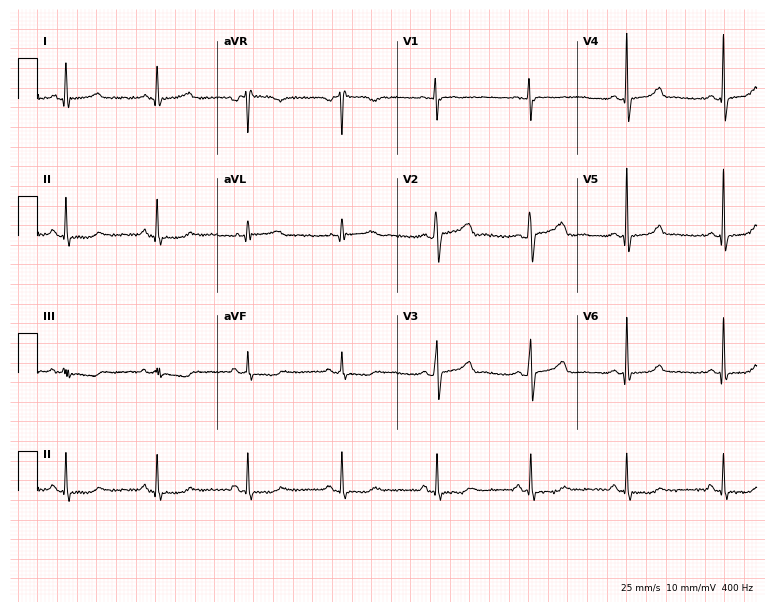
Resting 12-lead electrocardiogram. Patient: a woman, 30 years old. None of these six findings is recorded: first-degree AV block, right bundle branch block, left bundle branch block, sinus bradycardia, atrial fibrillation, sinus tachycardia.